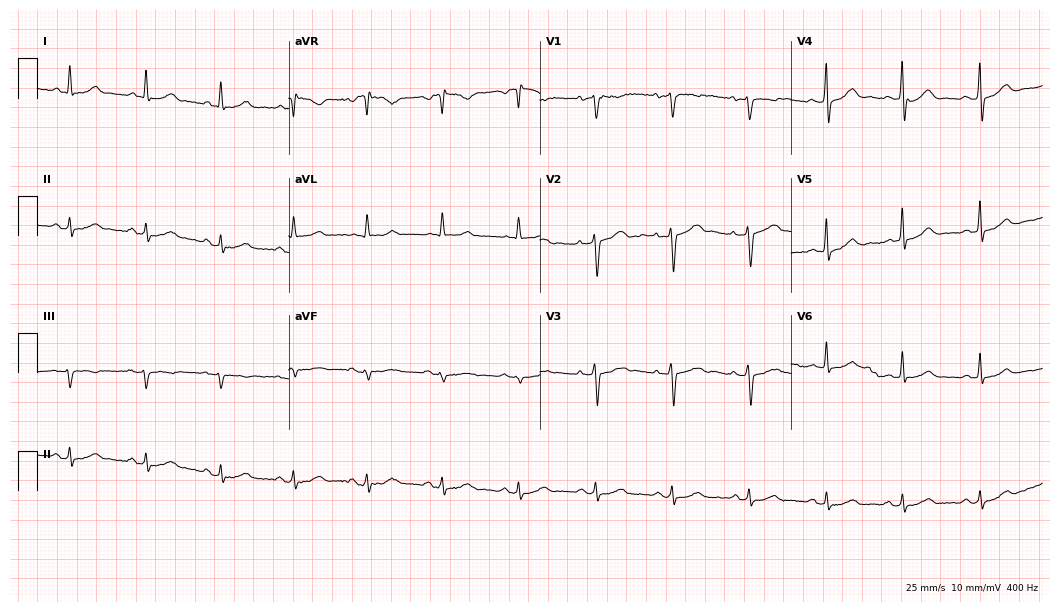
Standard 12-lead ECG recorded from a 54-year-old female patient. Read as a normal ECG.